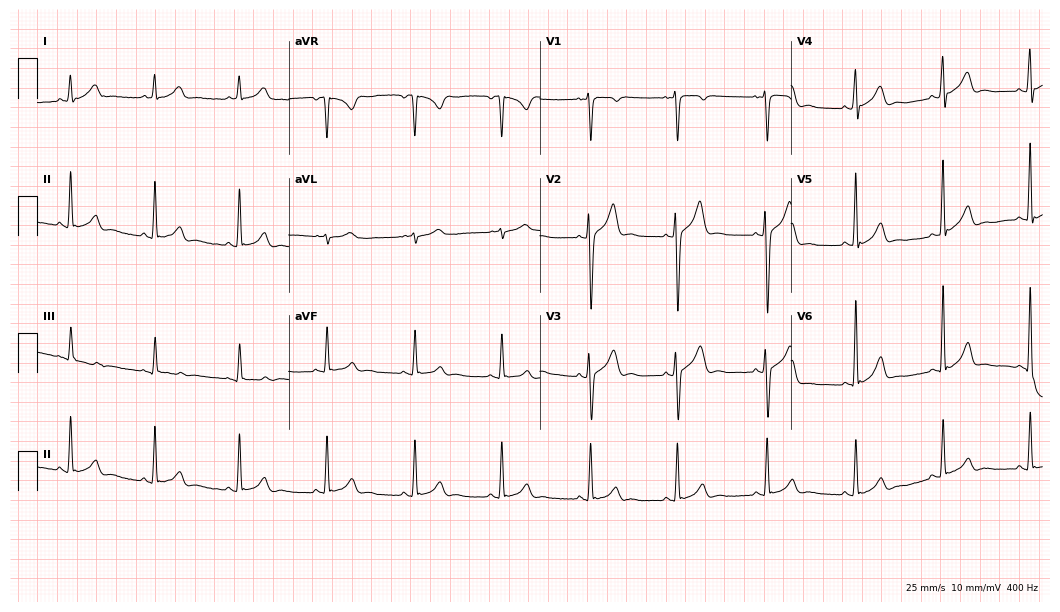
Electrocardiogram, a 29-year-old male patient. Overall reading on record: normal ECG.